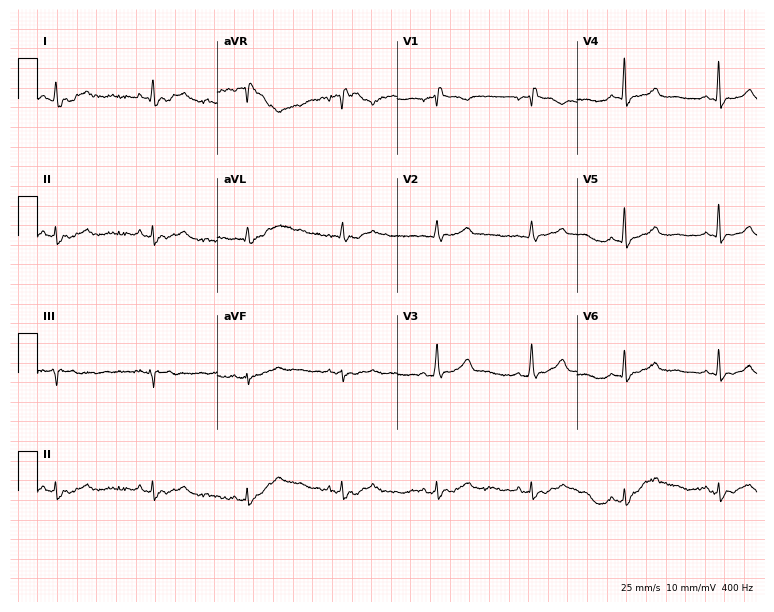
Electrocardiogram, a 59-year-old female. Of the six screened findings (first-degree AV block, right bundle branch block, left bundle branch block, sinus bradycardia, atrial fibrillation, sinus tachycardia), none is recorded.